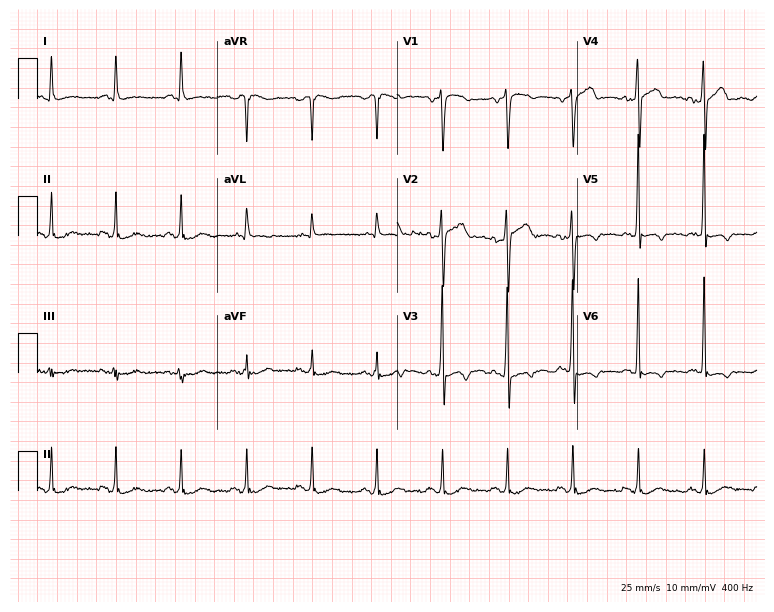
12-lead ECG from a man, 67 years old. Screened for six findings — first-degree AV block, right bundle branch block, left bundle branch block, sinus bradycardia, atrial fibrillation, sinus tachycardia — none is recorded.